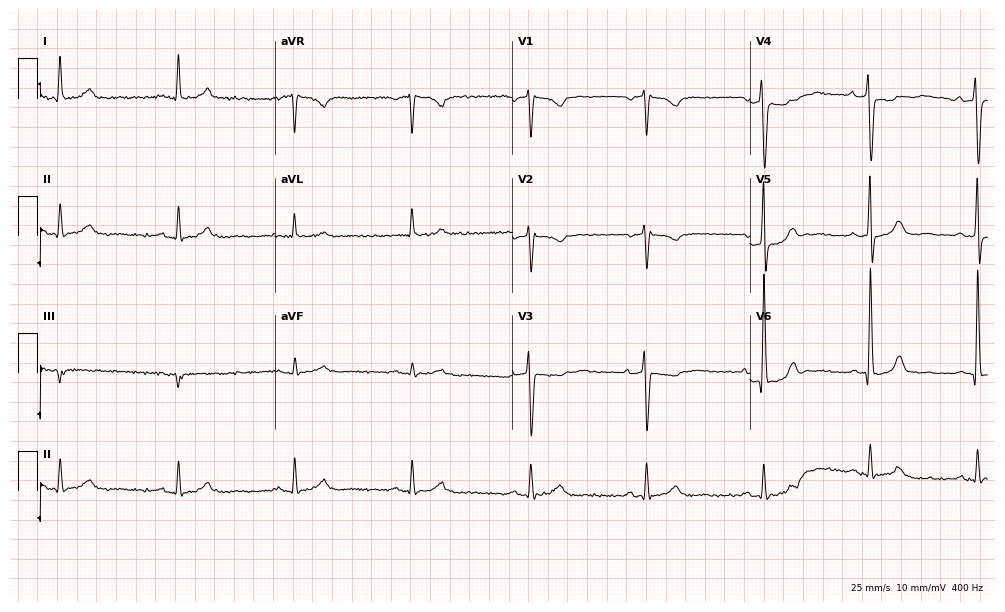
Electrocardiogram (9.7-second recording at 400 Hz), a 54-year-old male patient. Interpretation includes sinus bradycardia (a sinus rate of 50 beats per minute or less).